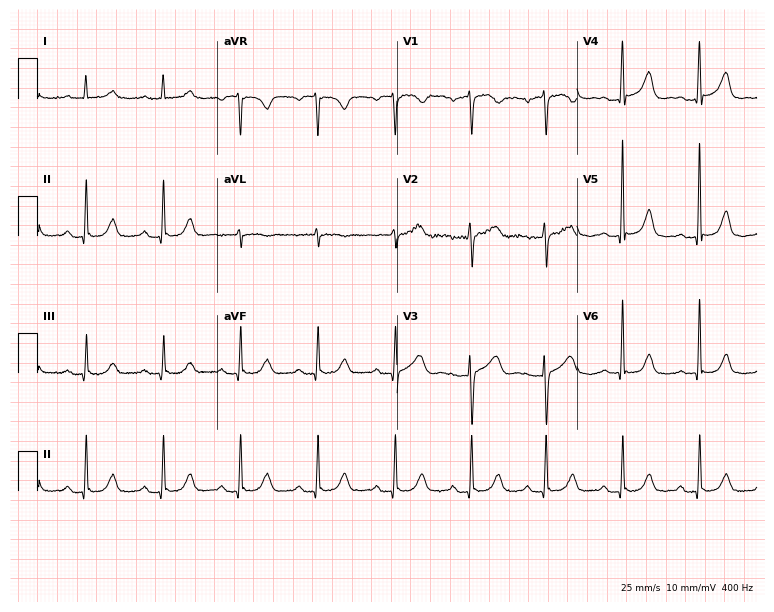
Electrocardiogram, a female, 49 years old. Overall reading on record: normal ECG.